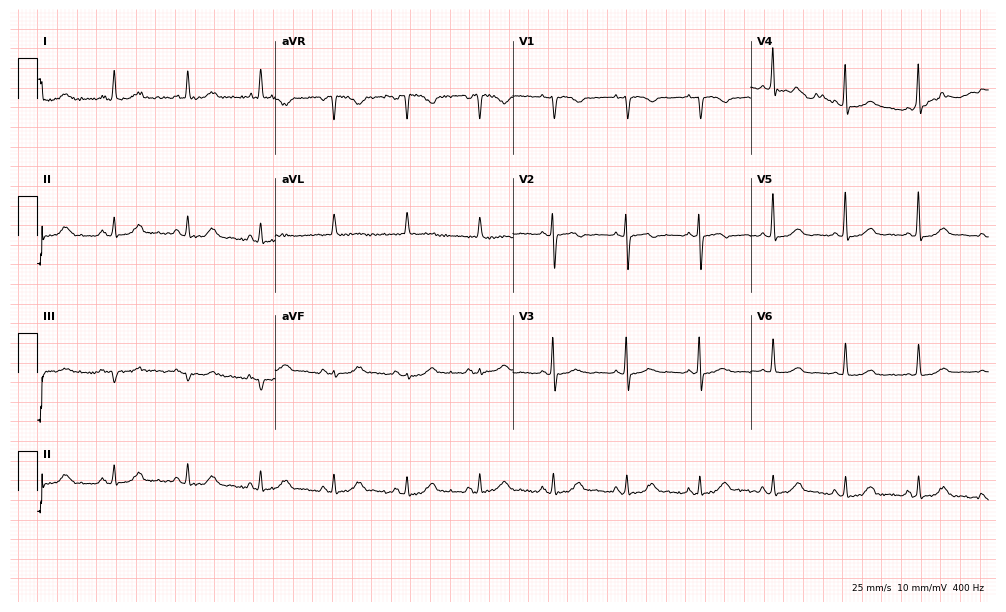
ECG — an 85-year-old woman. Labelled as a normal ECG.